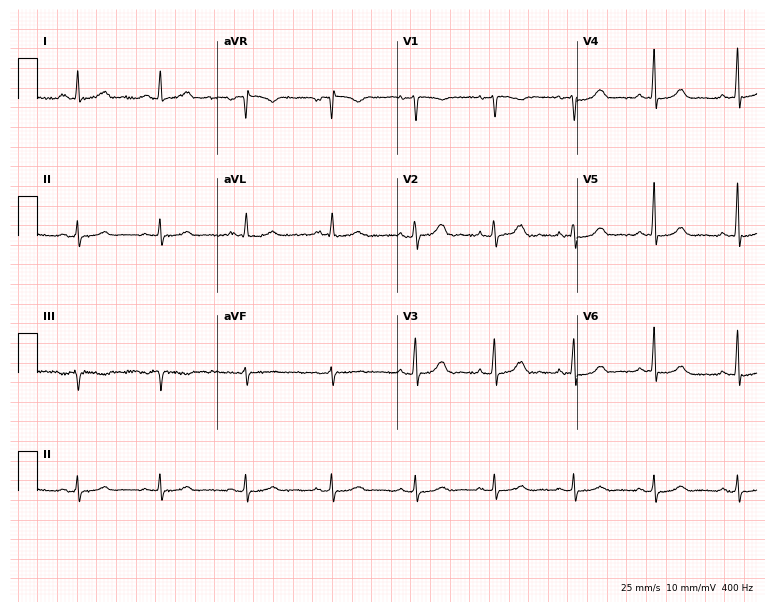
Standard 12-lead ECG recorded from a female, 54 years old. Read as a normal ECG.